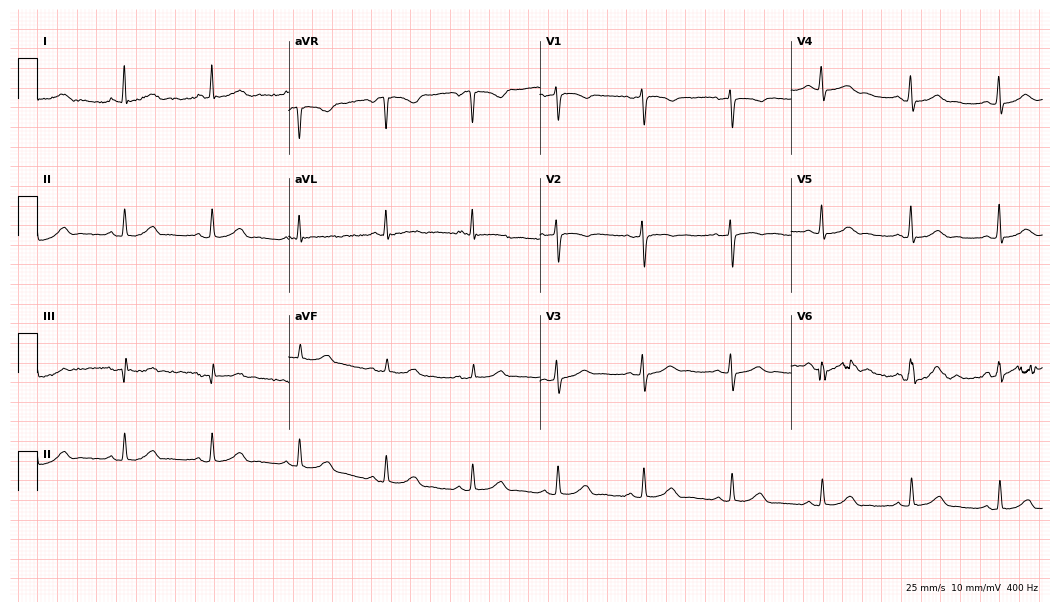
Standard 12-lead ECG recorded from a 51-year-old woman. Read as a normal ECG.